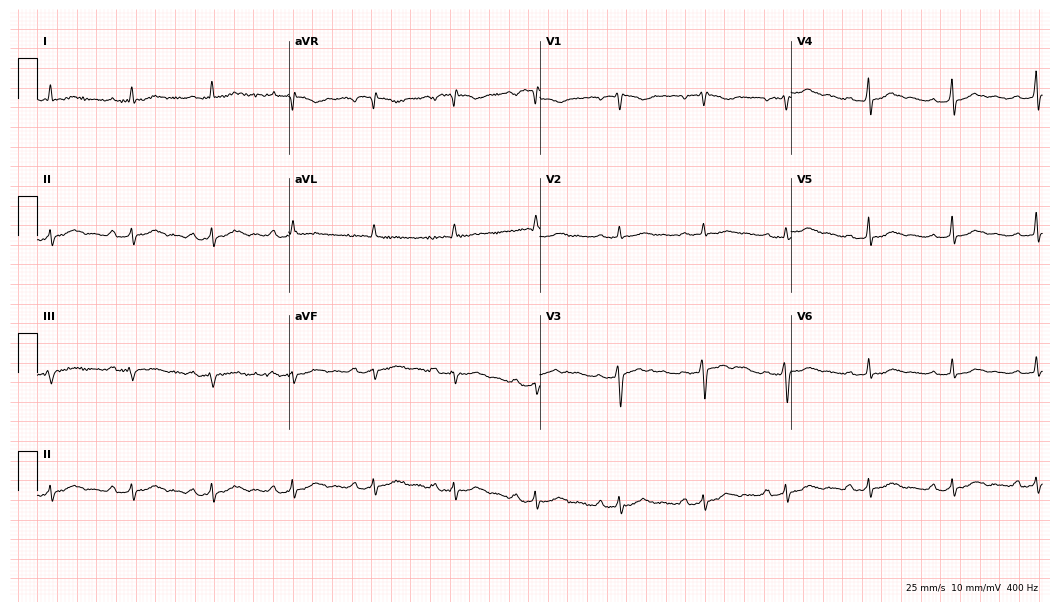
12-lead ECG from a 44-year-old female patient. No first-degree AV block, right bundle branch block, left bundle branch block, sinus bradycardia, atrial fibrillation or sinus tachycardia recorded for this tracing. Findings outside these six are not listed.